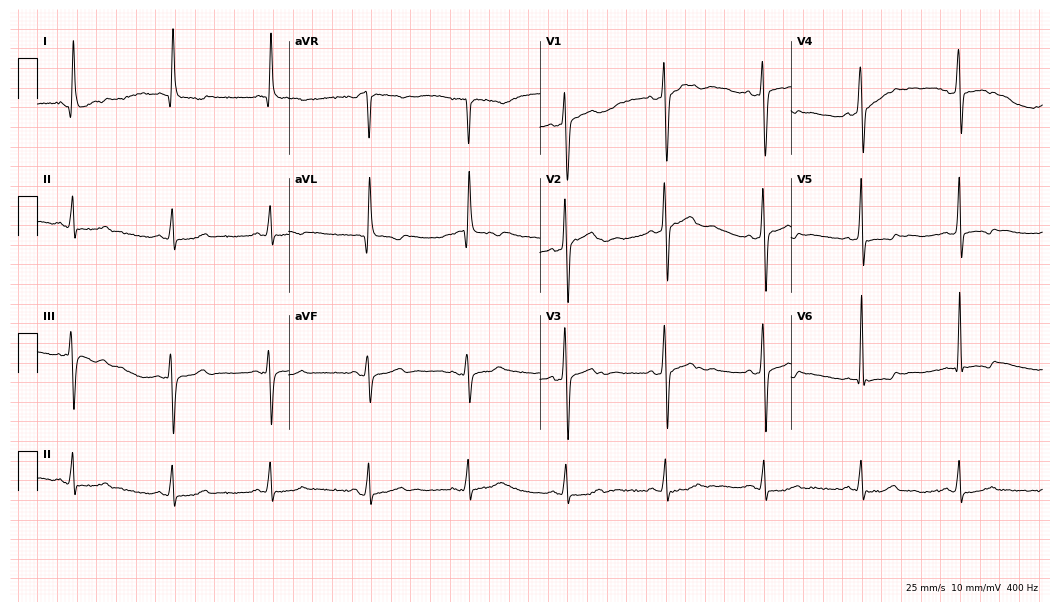
Standard 12-lead ECG recorded from a 76-year-old female patient (10.2-second recording at 400 Hz). None of these six findings is recorded: first-degree AV block, right bundle branch block (RBBB), left bundle branch block (LBBB), sinus bradycardia, atrial fibrillation (AF), sinus tachycardia. Only these six findings were labelled.